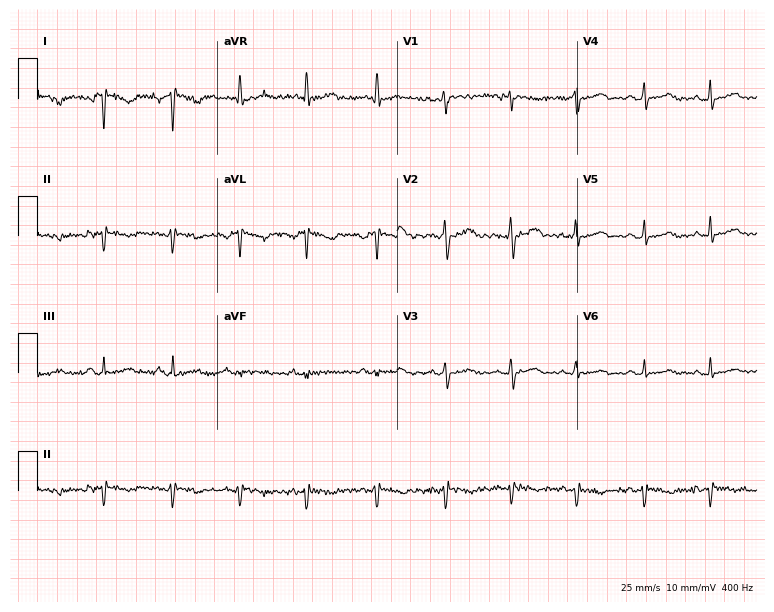
Electrocardiogram (7.3-second recording at 400 Hz), a 51-year-old female patient. Of the six screened findings (first-degree AV block, right bundle branch block, left bundle branch block, sinus bradycardia, atrial fibrillation, sinus tachycardia), none is recorded. Only these six findings were labelled.